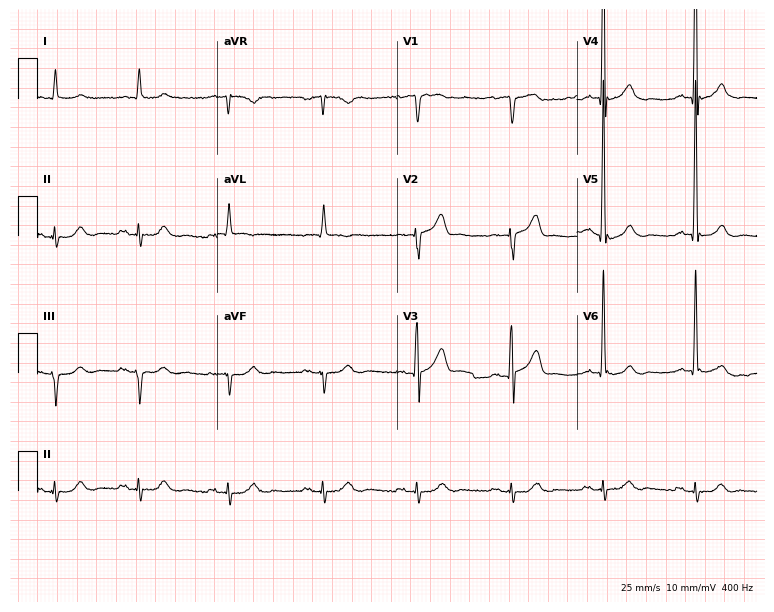
12-lead ECG from an 84-year-old male (7.3-second recording at 400 Hz). No first-degree AV block, right bundle branch block, left bundle branch block, sinus bradycardia, atrial fibrillation or sinus tachycardia recorded for this tracing.